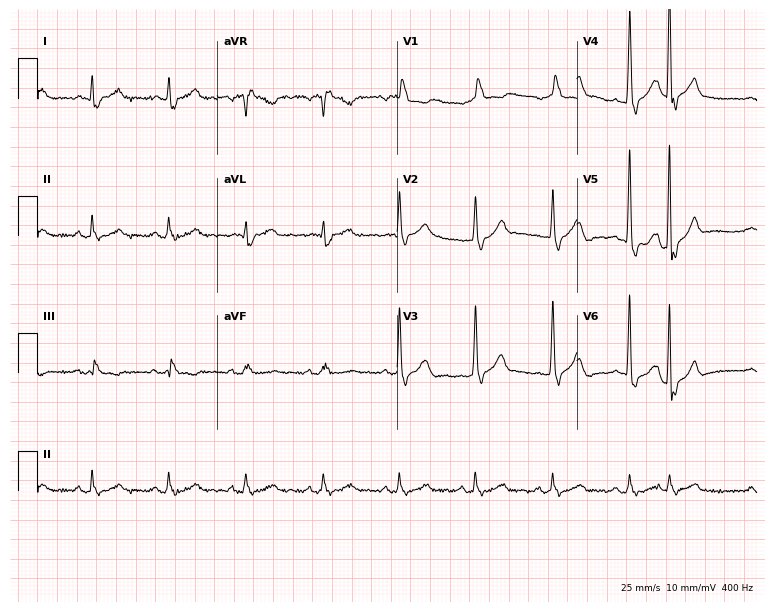
12-lead ECG from a female patient, 82 years old (7.3-second recording at 400 Hz). Shows right bundle branch block (RBBB).